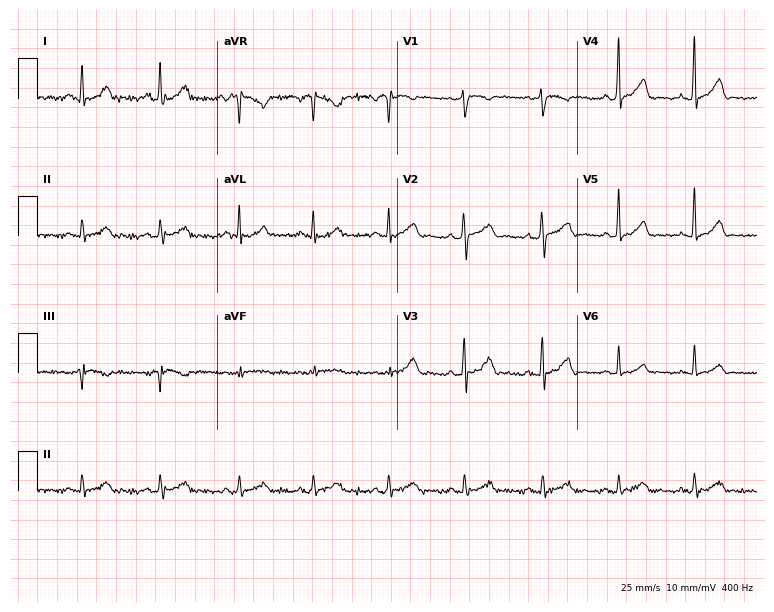
12-lead ECG (7.3-second recording at 400 Hz) from a man, 25 years old. Labelled as a normal ECG.